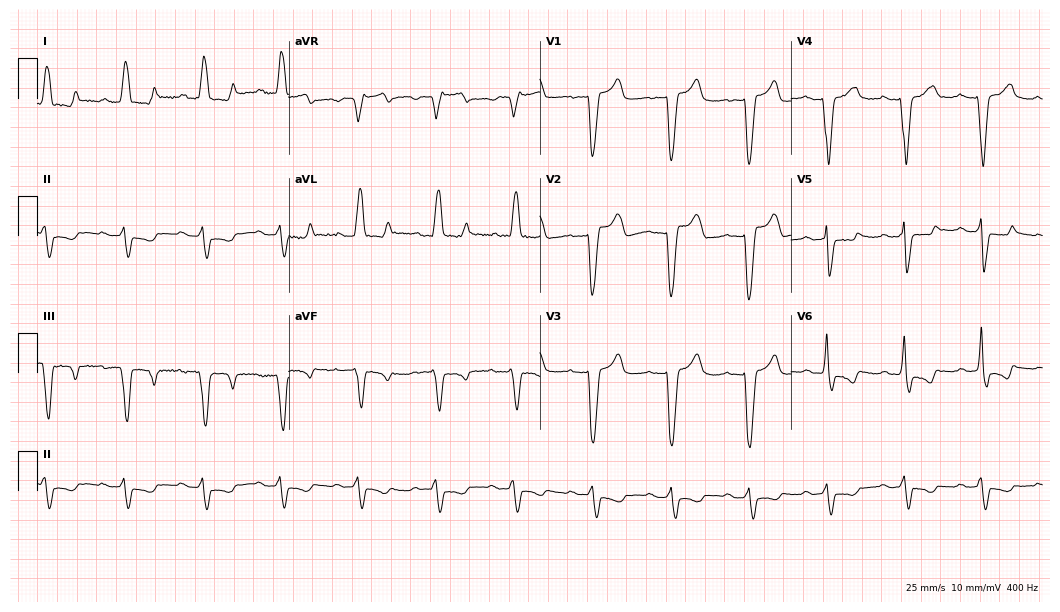
ECG — a female, 73 years old. Screened for six findings — first-degree AV block, right bundle branch block, left bundle branch block, sinus bradycardia, atrial fibrillation, sinus tachycardia — none is recorded.